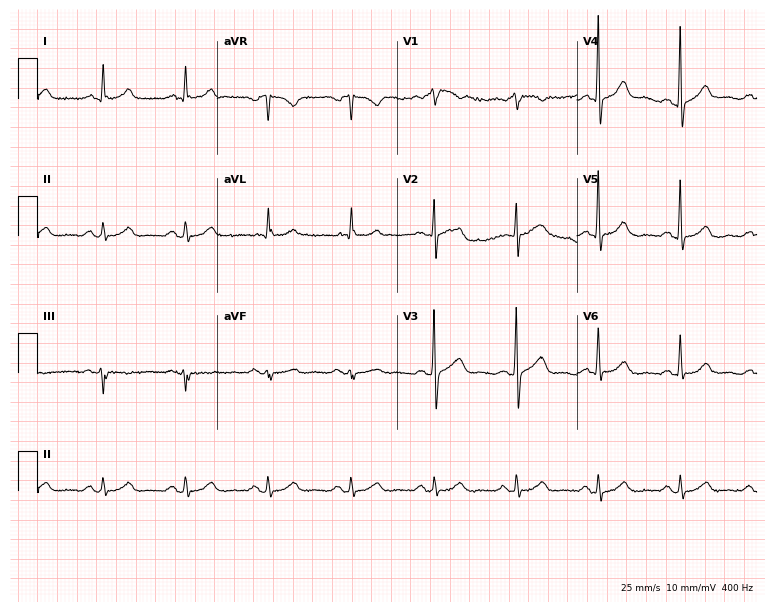
ECG — a man, 58 years old. Labelled as a normal ECG.